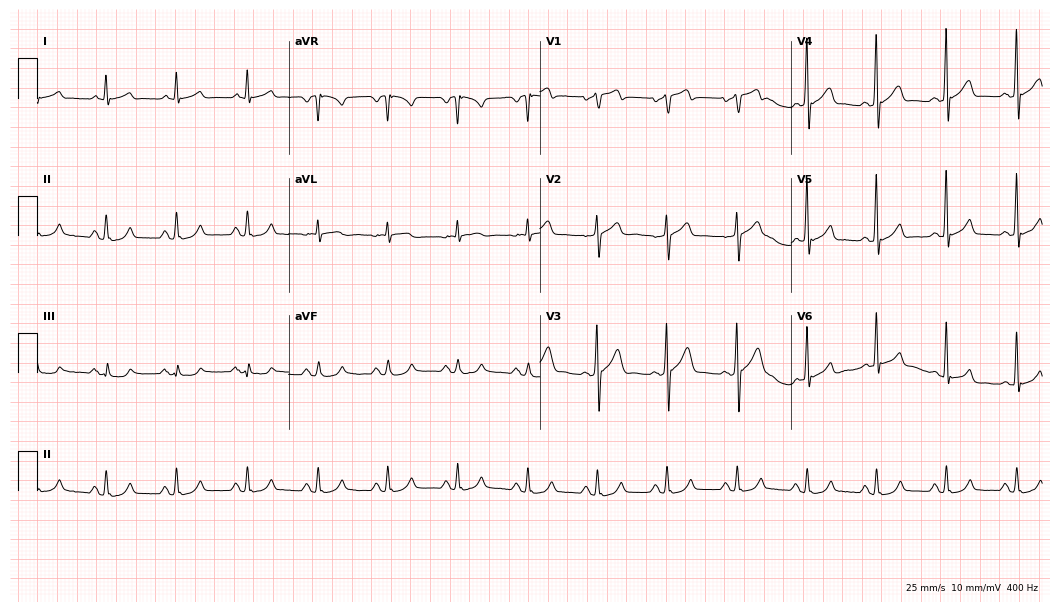
12-lead ECG from a 70-year-old male patient. Labelled as a normal ECG.